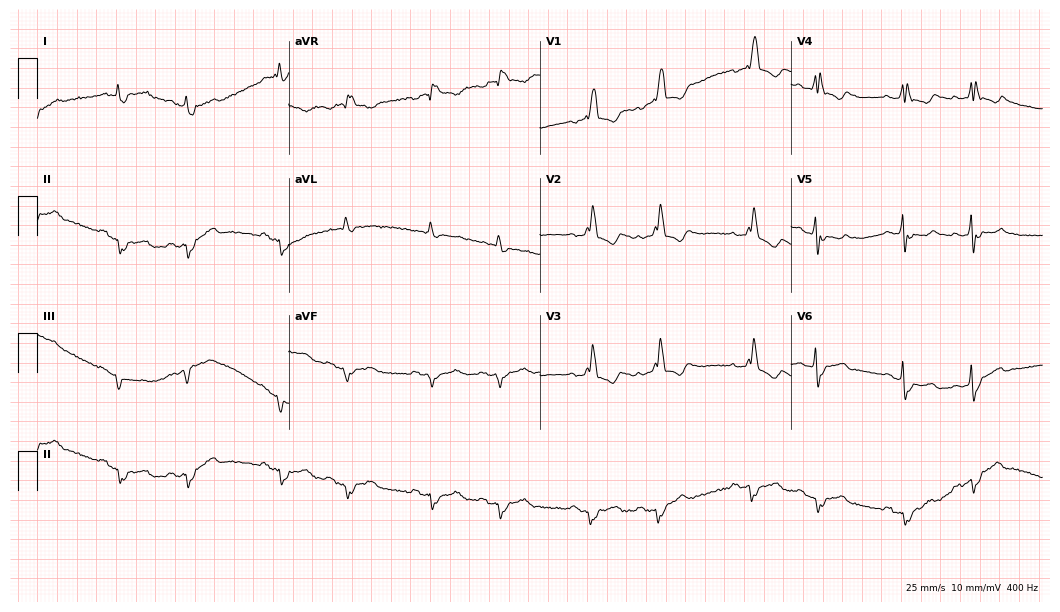
Resting 12-lead electrocardiogram. Patient: a male, 81 years old. None of these six findings is recorded: first-degree AV block, right bundle branch block, left bundle branch block, sinus bradycardia, atrial fibrillation, sinus tachycardia.